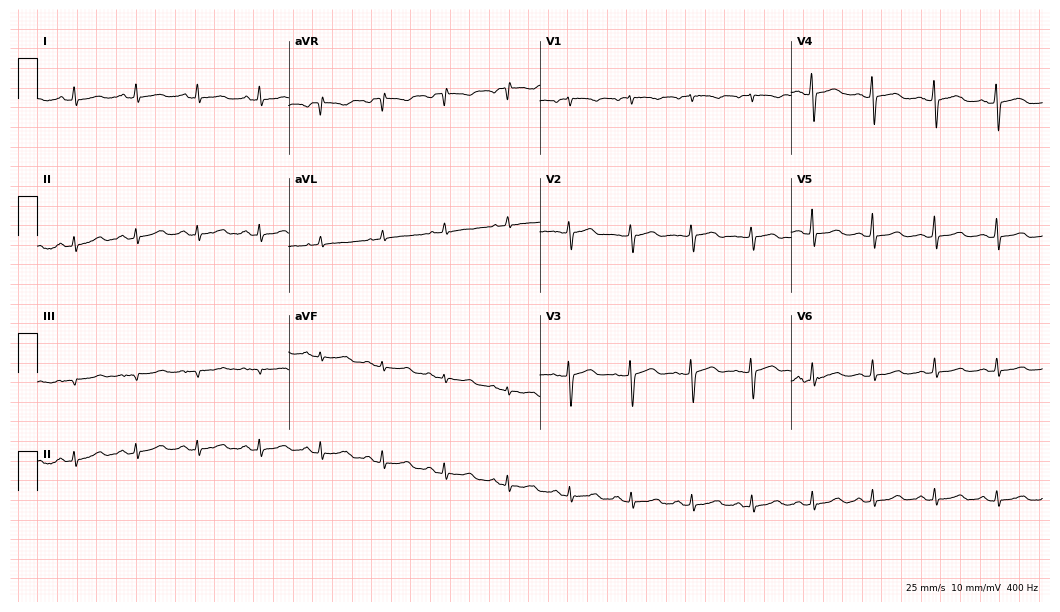
Electrocardiogram, a female, 53 years old. Of the six screened findings (first-degree AV block, right bundle branch block (RBBB), left bundle branch block (LBBB), sinus bradycardia, atrial fibrillation (AF), sinus tachycardia), none is recorded.